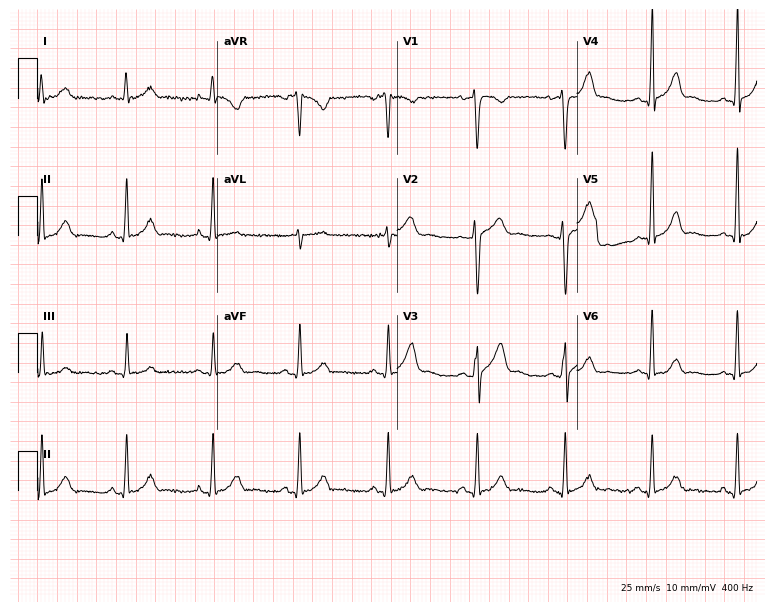
12-lead ECG (7.3-second recording at 400 Hz) from a 31-year-old male patient. Screened for six findings — first-degree AV block, right bundle branch block, left bundle branch block, sinus bradycardia, atrial fibrillation, sinus tachycardia — none is recorded. Only these six findings were labelled.